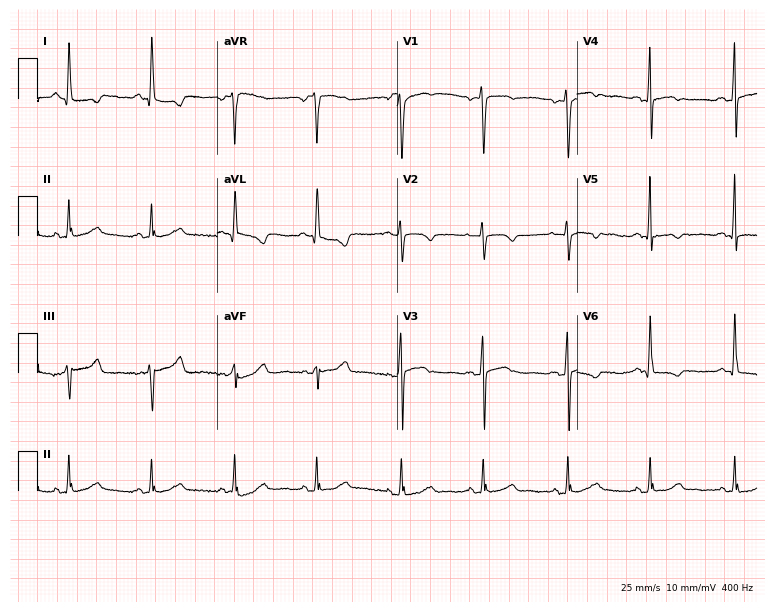
12-lead ECG from a female patient, 63 years old. No first-degree AV block, right bundle branch block, left bundle branch block, sinus bradycardia, atrial fibrillation or sinus tachycardia recorded for this tracing.